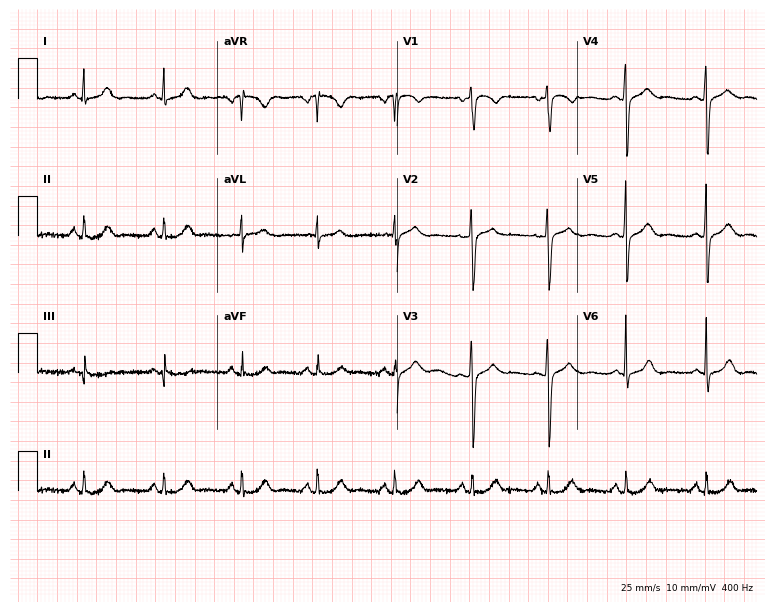
ECG — a 39-year-old male patient. Screened for six findings — first-degree AV block, right bundle branch block (RBBB), left bundle branch block (LBBB), sinus bradycardia, atrial fibrillation (AF), sinus tachycardia — none is recorded. Only these six findings were labelled.